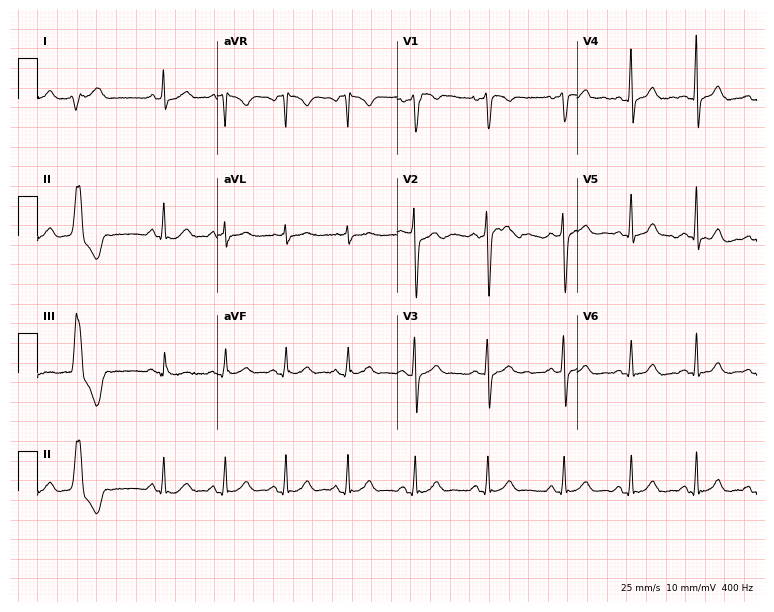
Electrocardiogram (7.3-second recording at 400 Hz), a 35-year-old male. Of the six screened findings (first-degree AV block, right bundle branch block, left bundle branch block, sinus bradycardia, atrial fibrillation, sinus tachycardia), none is recorded. Only these six findings were labelled.